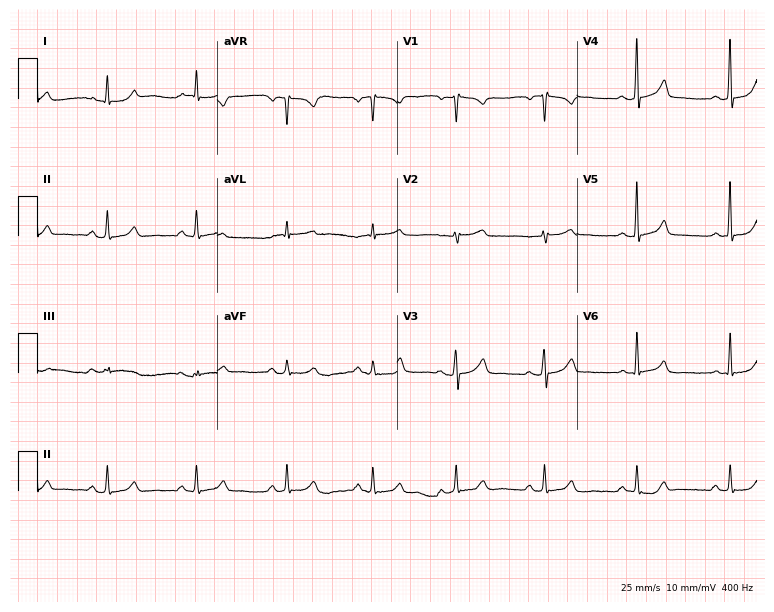
ECG — a female patient, 47 years old. Labelled as a normal ECG.